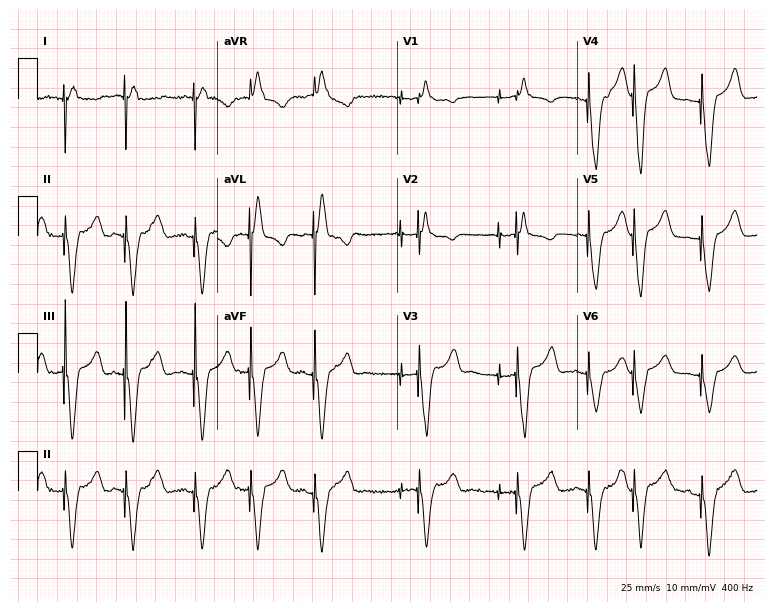
Electrocardiogram, a female patient, 83 years old. Of the six screened findings (first-degree AV block, right bundle branch block (RBBB), left bundle branch block (LBBB), sinus bradycardia, atrial fibrillation (AF), sinus tachycardia), none is recorded. Findings outside these six are not listed.